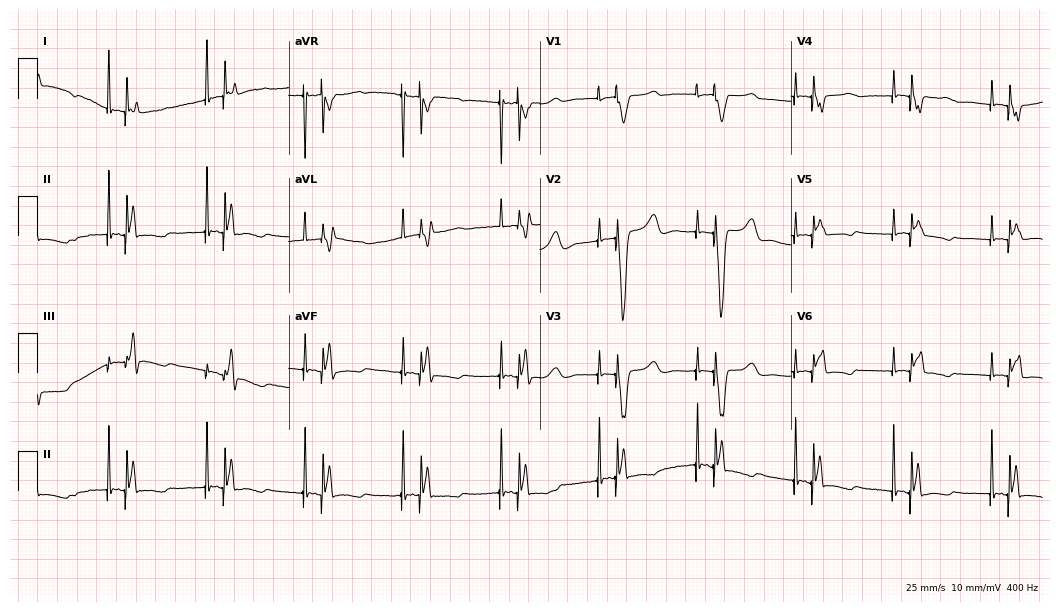
Resting 12-lead electrocardiogram. Patient: an 80-year-old female. None of these six findings is recorded: first-degree AV block, right bundle branch block, left bundle branch block, sinus bradycardia, atrial fibrillation, sinus tachycardia. Findings outside these six are not listed.